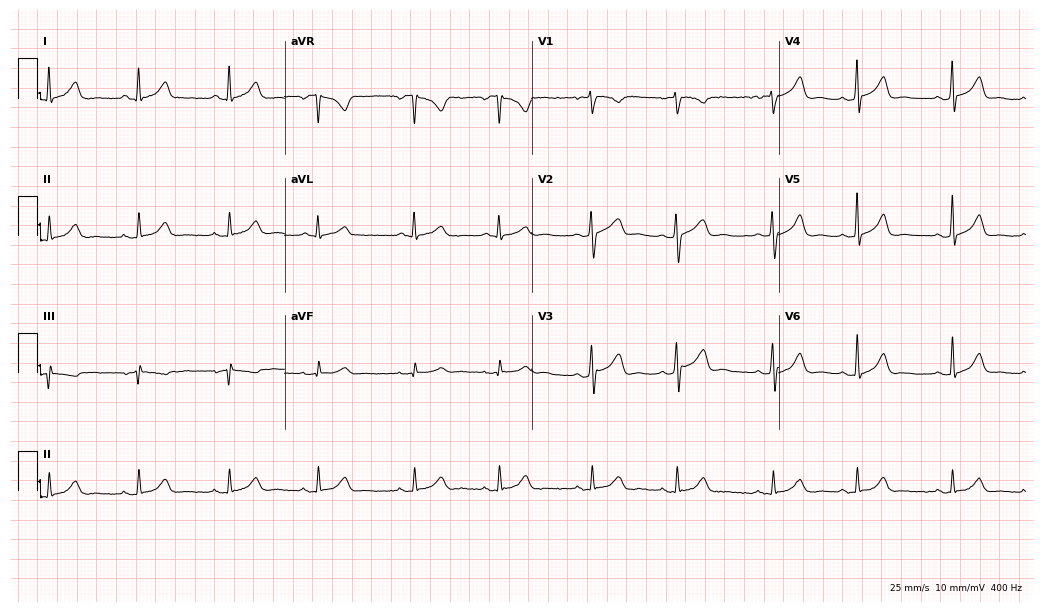
Standard 12-lead ECG recorded from a woman, 30 years old. Read as a normal ECG.